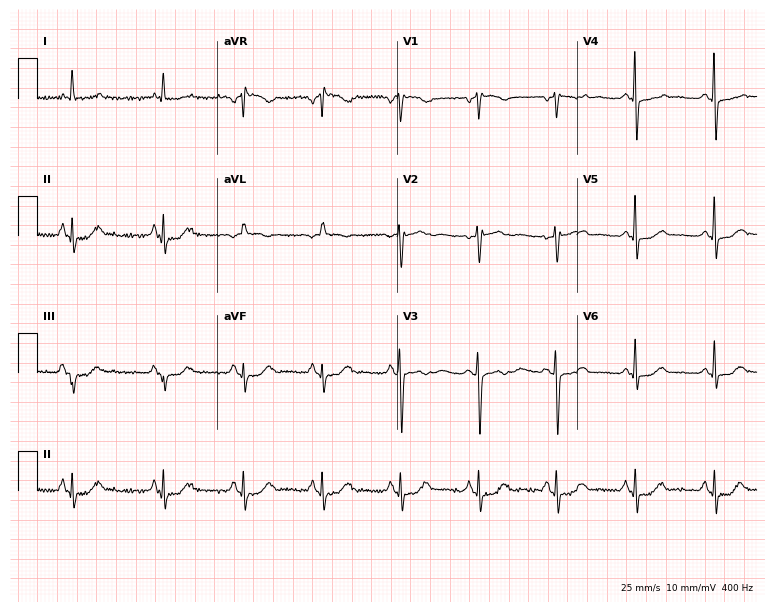
ECG — a 79-year-old female patient. Screened for six findings — first-degree AV block, right bundle branch block (RBBB), left bundle branch block (LBBB), sinus bradycardia, atrial fibrillation (AF), sinus tachycardia — none is recorded. Only these six findings were labelled.